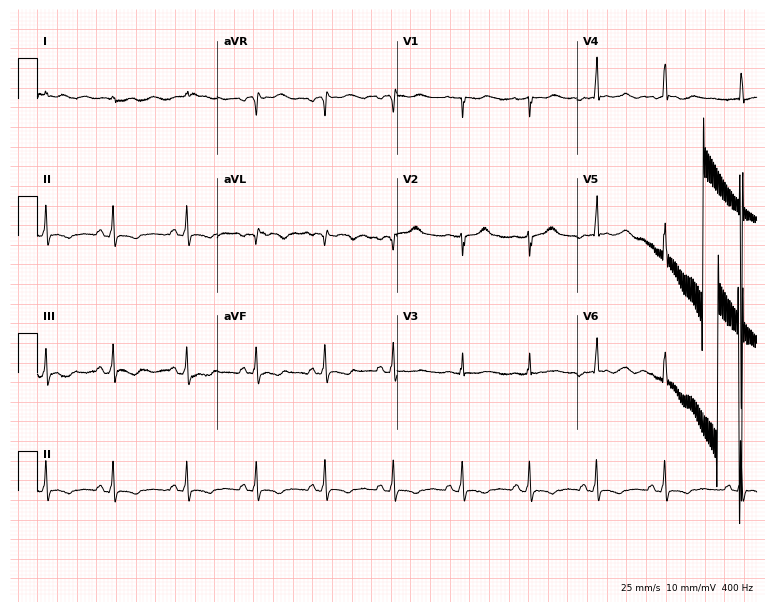
Standard 12-lead ECG recorded from a man, 29 years old. None of these six findings is recorded: first-degree AV block, right bundle branch block, left bundle branch block, sinus bradycardia, atrial fibrillation, sinus tachycardia. Other findings, if any, are not listed.